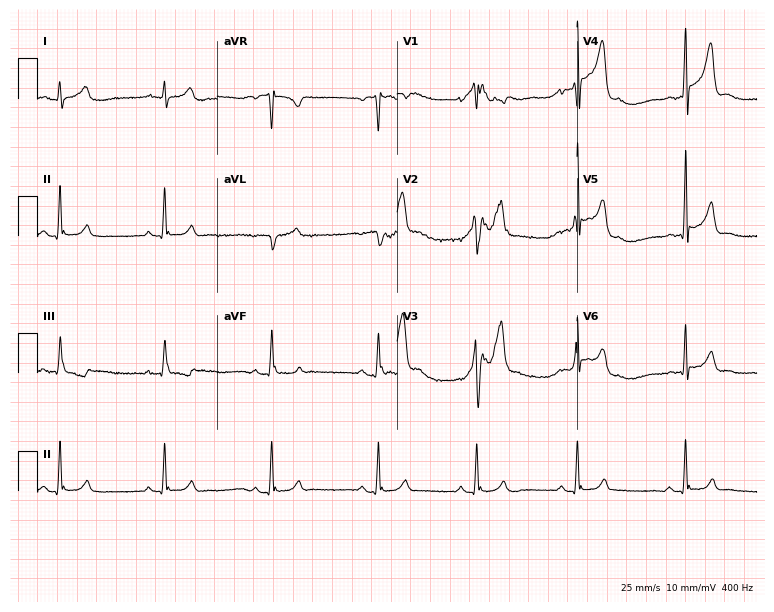
ECG (7.3-second recording at 400 Hz) — a man, 28 years old. Screened for six findings — first-degree AV block, right bundle branch block, left bundle branch block, sinus bradycardia, atrial fibrillation, sinus tachycardia — none is recorded. Findings outside these six are not listed.